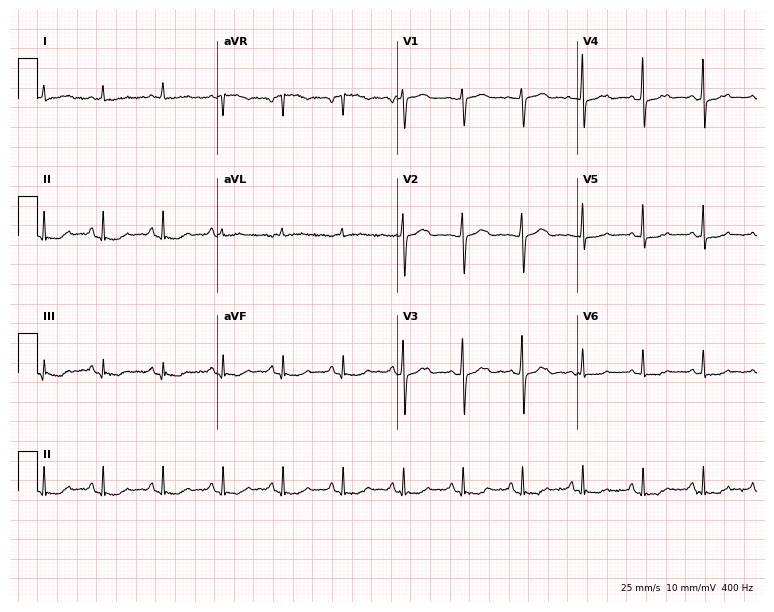
12-lead ECG from a 61-year-old woman (7.3-second recording at 400 Hz). Recorded interpretation: within normal limits.